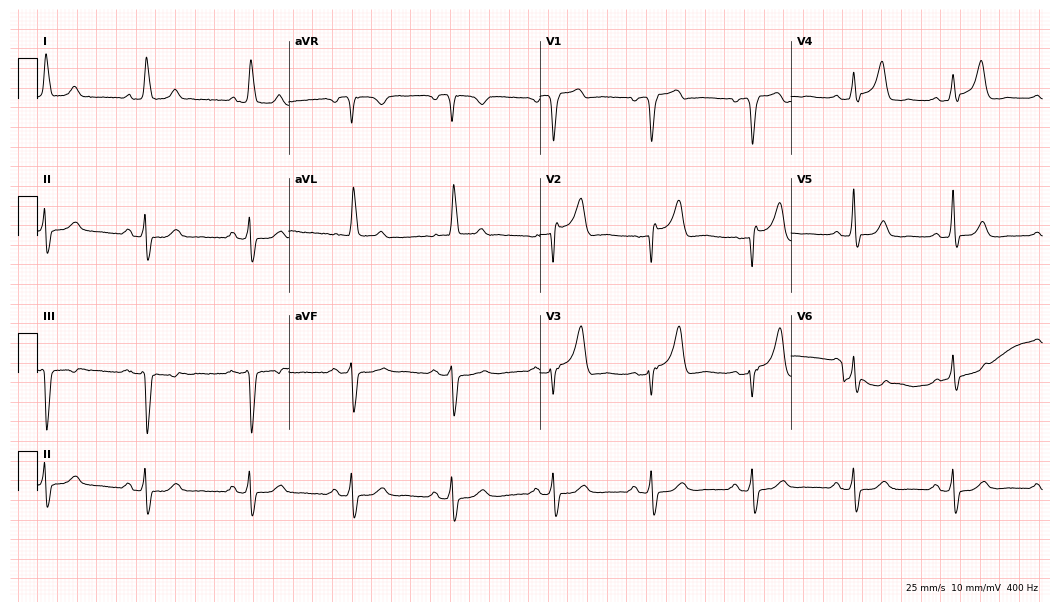
12-lead ECG from a woman, 79 years old. No first-degree AV block, right bundle branch block (RBBB), left bundle branch block (LBBB), sinus bradycardia, atrial fibrillation (AF) or sinus tachycardia recorded for this tracing. Only these six findings were labelled.